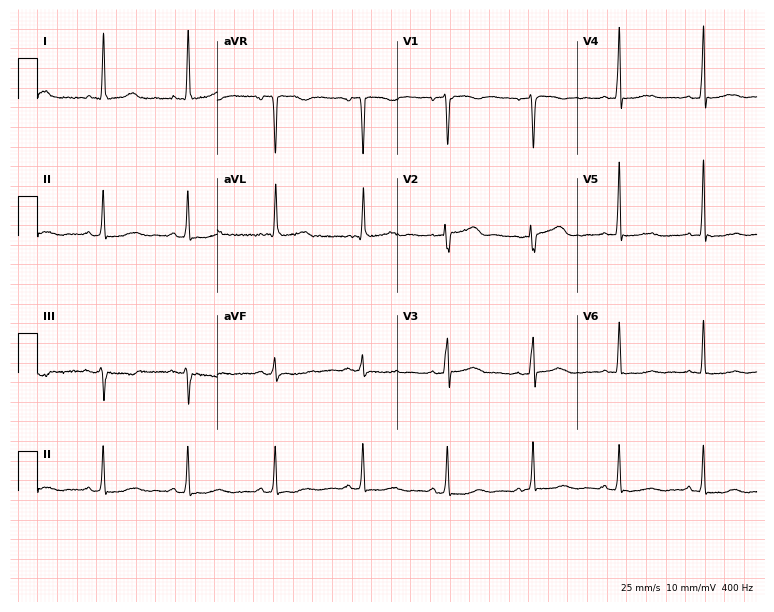
12-lead ECG from a woman, 53 years old. No first-degree AV block, right bundle branch block, left bundle branch block, sinus bradycardia, atrial fibrillation or sinus tachycardia recorded for this tracing.